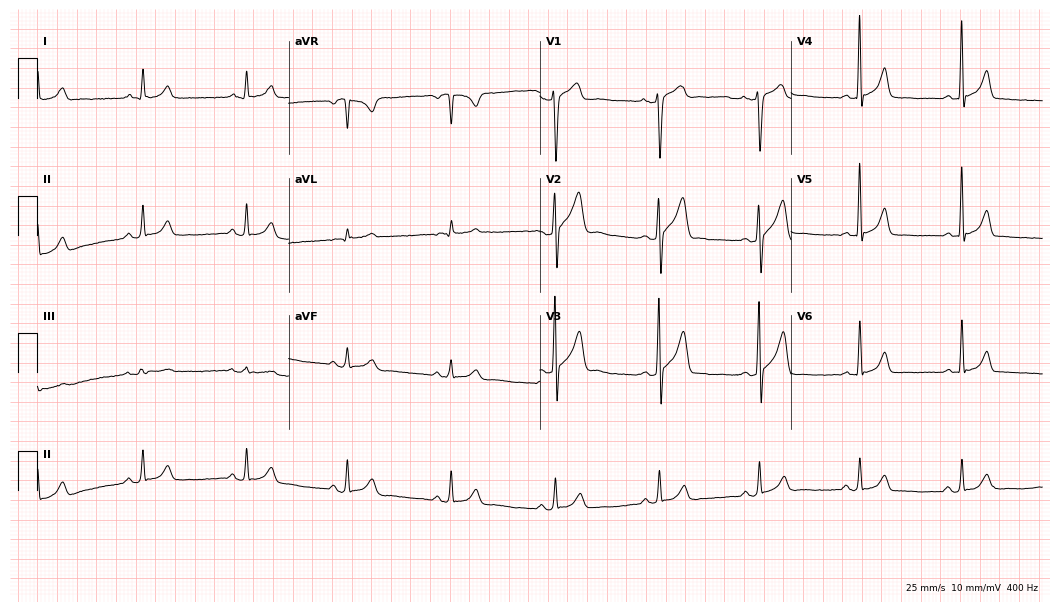
12-lead ECG from a 45-year-old man. Labelled as a normal ECG.